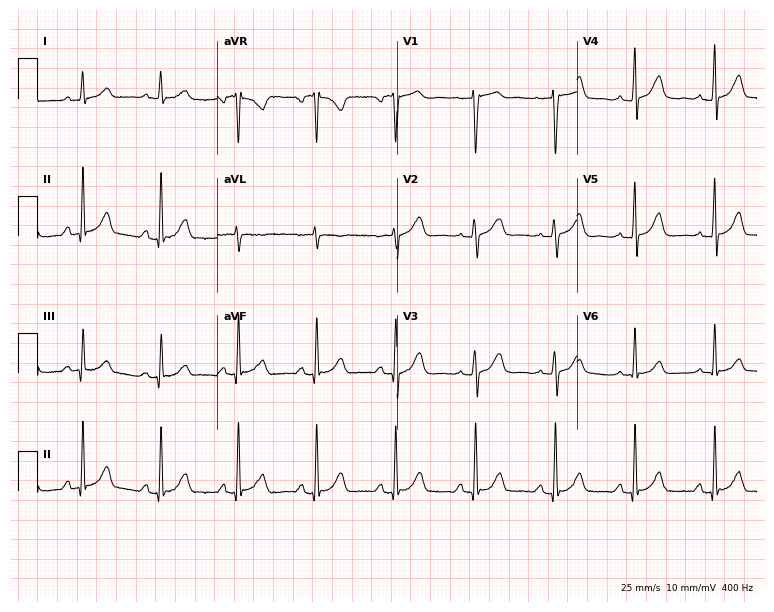
12-lead ECG from a man, 71 years old (7.3-second recording at 400 Hz). Recorded interpretation: within normal limits.